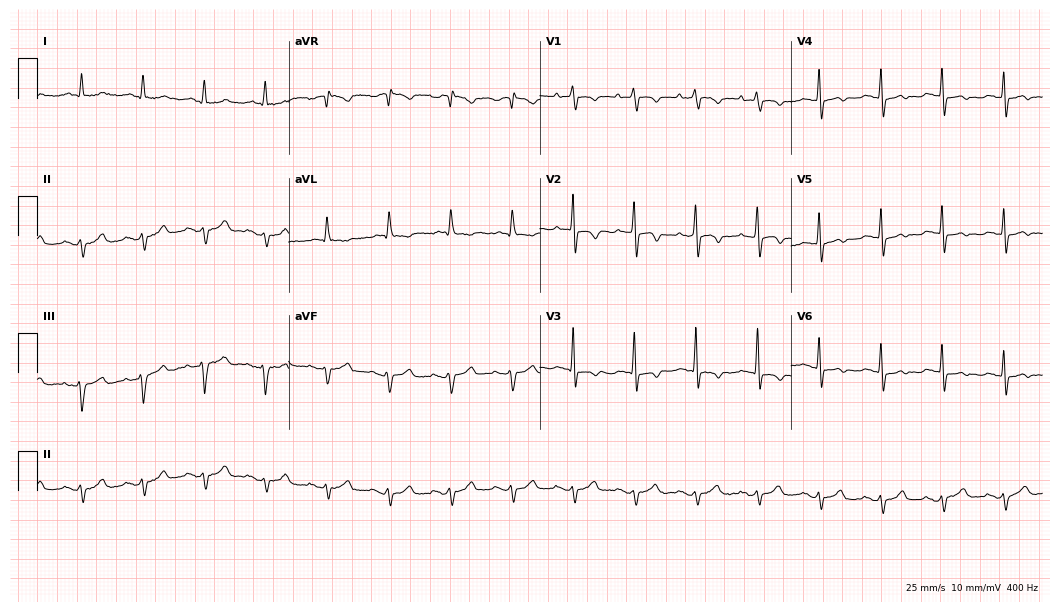
12-lead ECG (10.2-second recording at 400 Hz) from an 82-year-old male. Screened for six findings — first-degree AV block, right bundle branch block, left bundle branch block, sinus bradycardia, atrial fibrillation, sinus tachycardia — none is recorded.